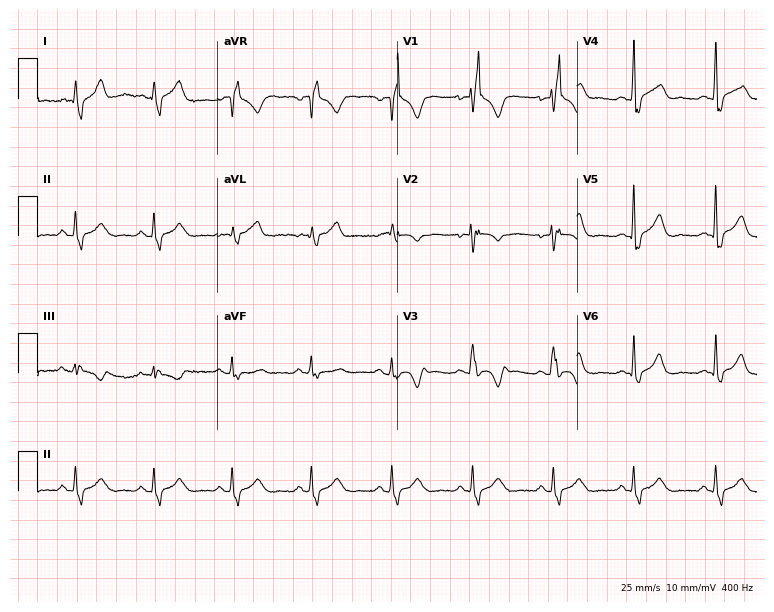
12-lead ECG (7.3-second recording at 400 Hz) from a 36-year-old female. Findings include right bundle branch block.